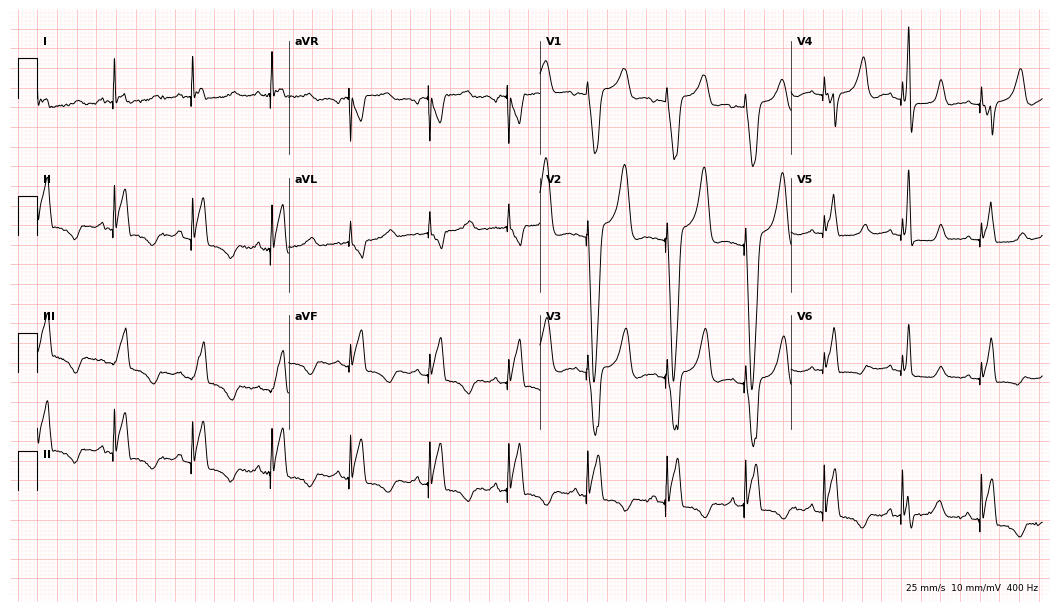
Electrocardiogram (10.2-second recording at 400 Hz), a female, 72 years old. Of the six screened findings (first-degree AV block, right bundle branch block, left bundle branch block, sinus bradycardia, atrial fibrillation, sinus tachycardia), none is recorded.